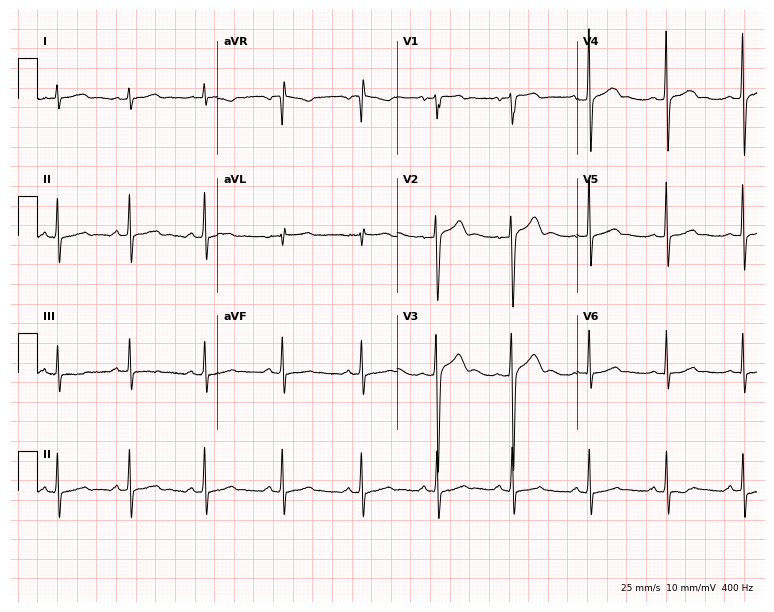
12-lead ECG from a 26-year-old male patient (7.3-second recording at 400 Hz). Recorded interpretation: within normal limits.